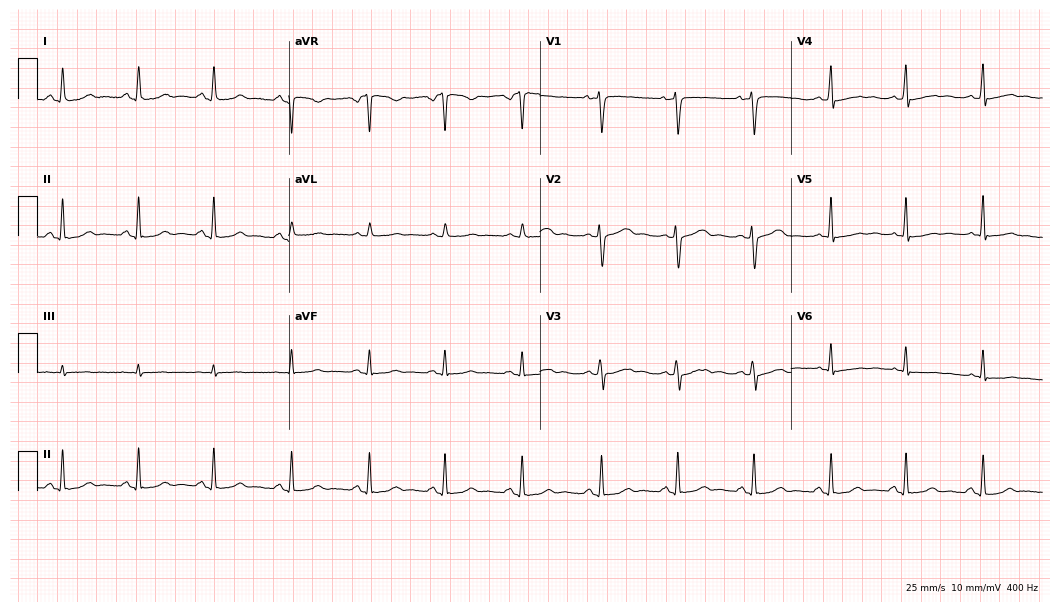
Electrocardiogram (10.2-second recording at 400 Hz), a woman, 37 years old. Overall reading on record: normal ECG.